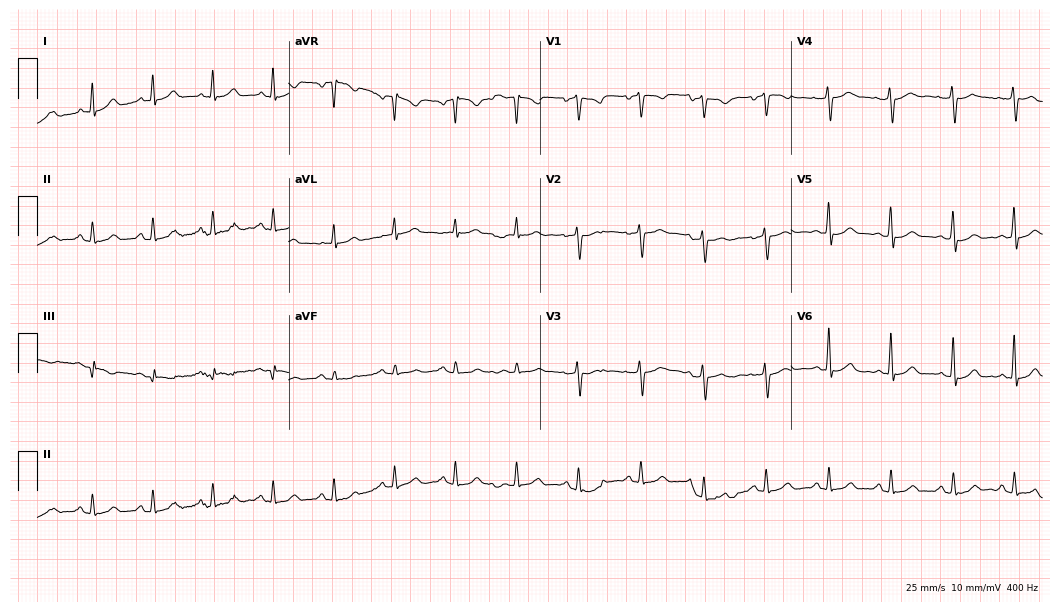
ECG (10.2-second recording at 400 Hz) — a 45-year-old female patient. Labelled as a normal ECG.